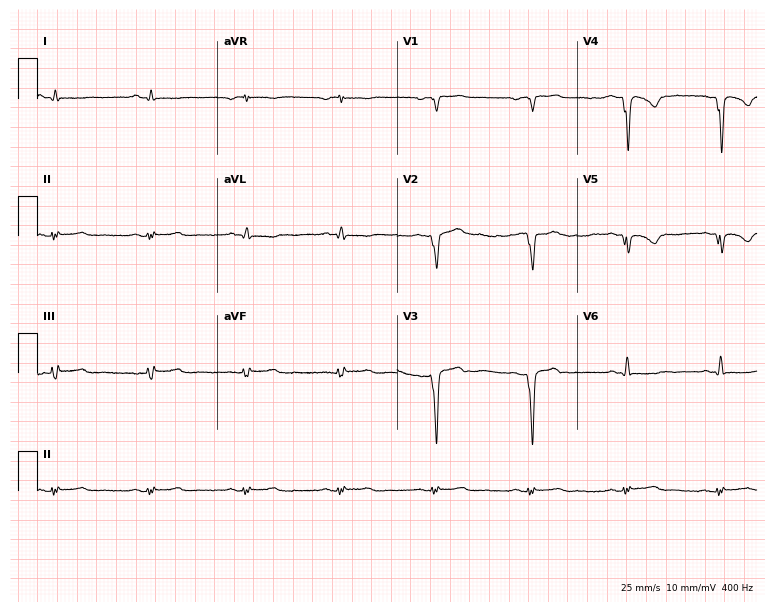
Resting 12-lead electrocardiogram. Patient: a man, 54 years old. None of these six findings is recorded: first-degree AV block, right bundle branch block, left bundle branch block, sinus bradycardia, atrial fibrillation, sinus tachycardia. Other findings, if any, are not listed.